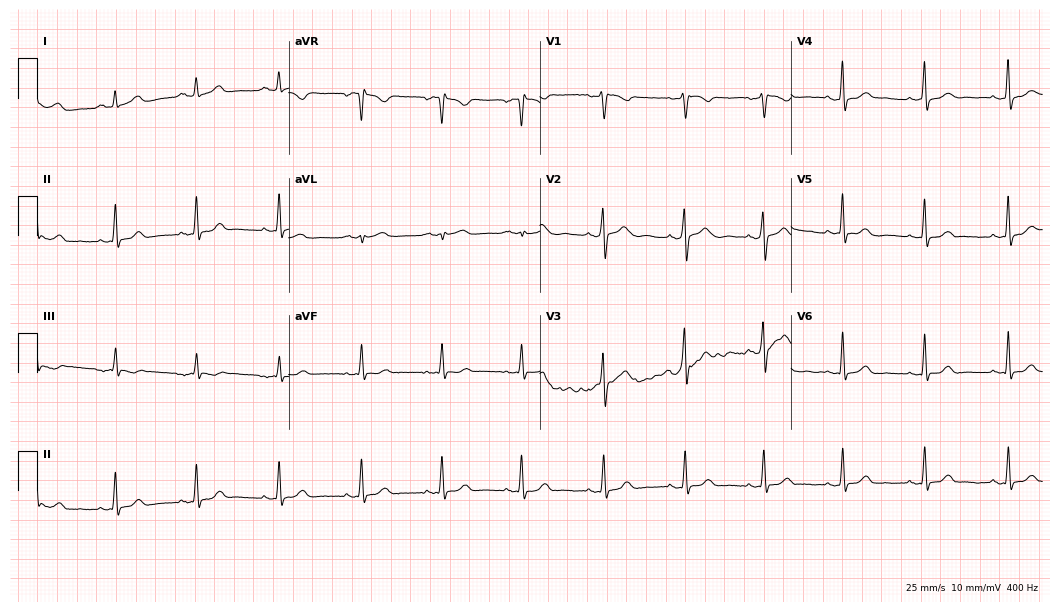
ECG (10.2-second recording at 400 Hz) — a female, 51 years old. Labelled as a normal ECG.